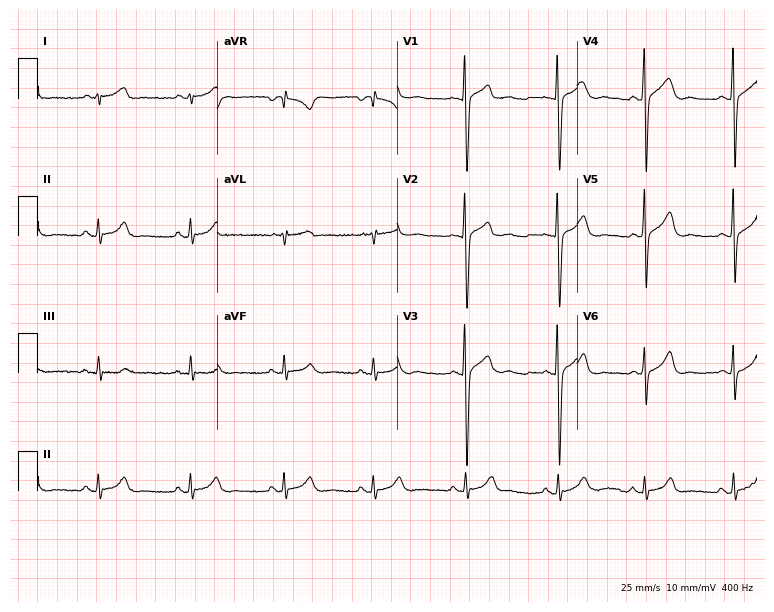
ECG (7.3-second recording at 400 Hz) — a 24-year-old male patient. Labelled as a normal ECG.